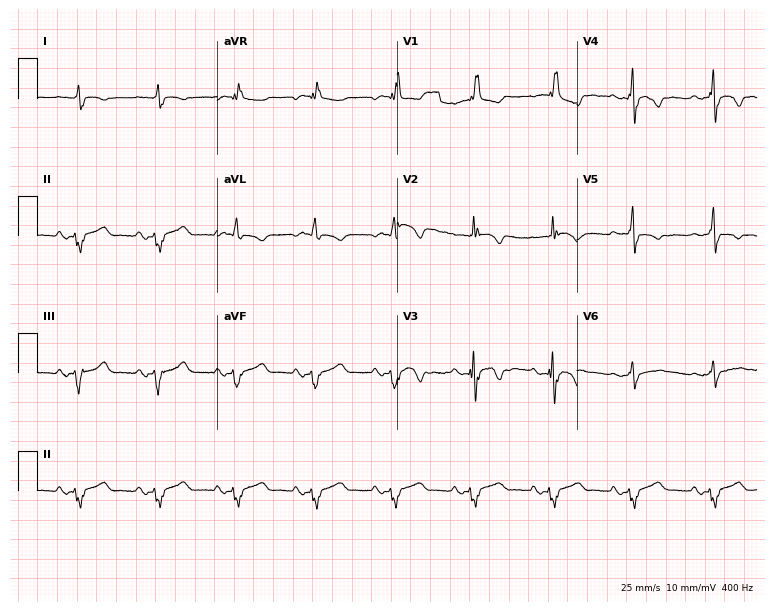
12-lead ECG from an 84-year-old male patient (7.3-second recording at 400 Hz). No first-degree AV block, right bundle branch block, left bundle branch block, sinus bradycardia, atrial fibrillation or sinus tachycardia recorded for this tracing.